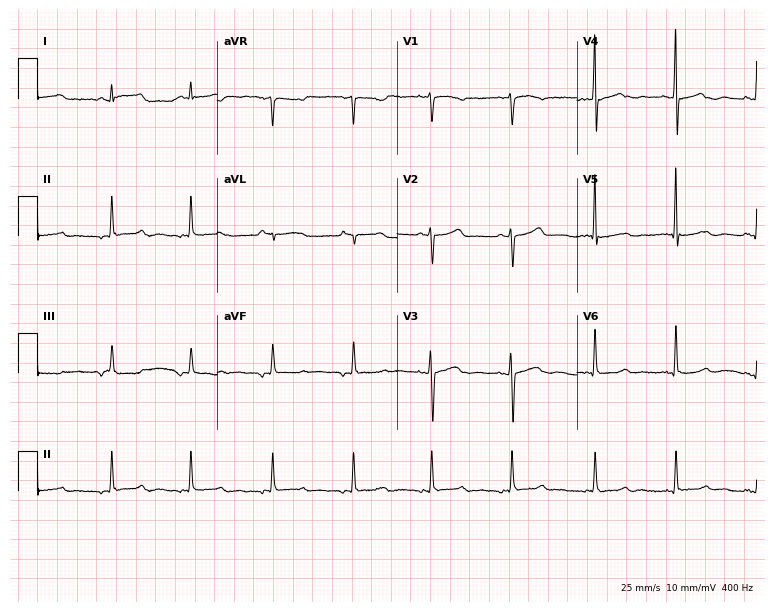
12-lead ECG from a woman, 52 years old (7.3-second recording at 400 Hz). No first-degree AV block, right bundle branch block, left bundle branch block, sinus bradycardia, atrial fibrillation or sinus tachycardia recorded for this tracing. Other findings, if any, are not listed.